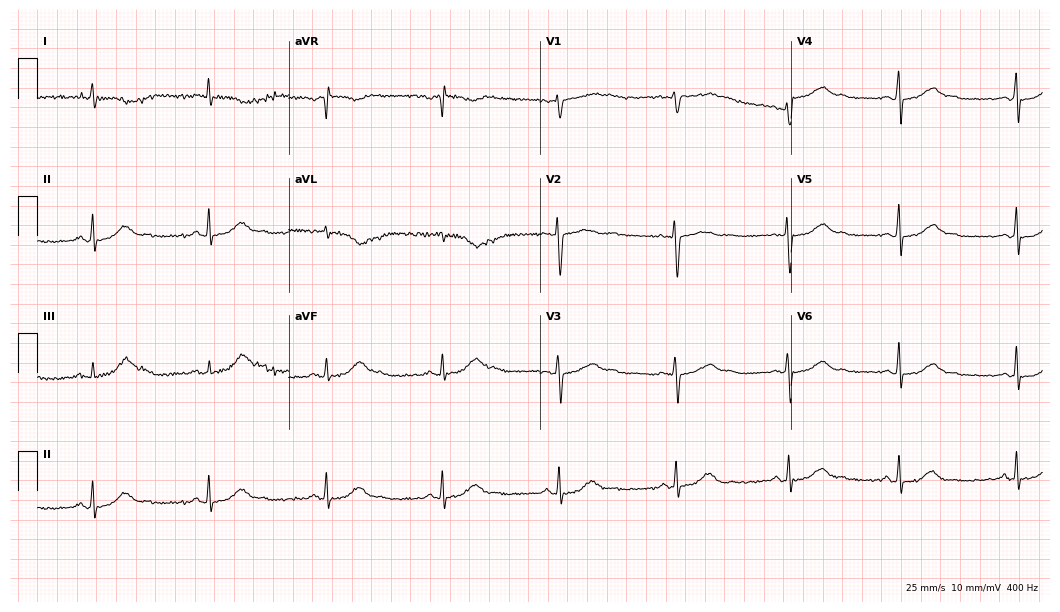
Electrocardiogram, a 45-year-old female patient. Of the six screened findings (first-degree AV block, right bundle branch block (RBBB), left bundle branch block (LBBB), sinus bradycardia, atrial fibrillation (AF), sinus tachycardia), none is recorded.